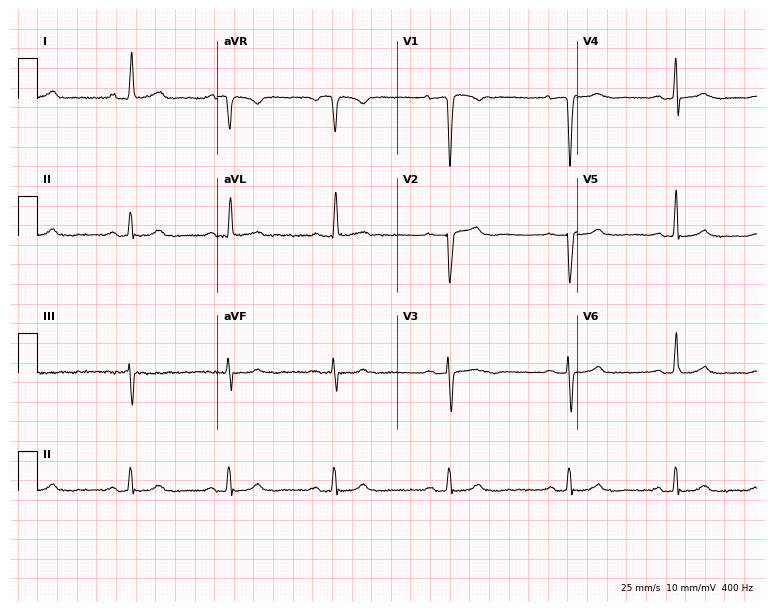
Resting 12-lead electrocardiogram (7.3-second recording at 400 Hz). Patient: a female, 52 years old. None of these six findings is recorded: first-degree AV block, right bundle branch block, left bundle branch block, sinus bradycardia, atrial fibrillation, sinus tachycardia. Only these six findings were labelled.